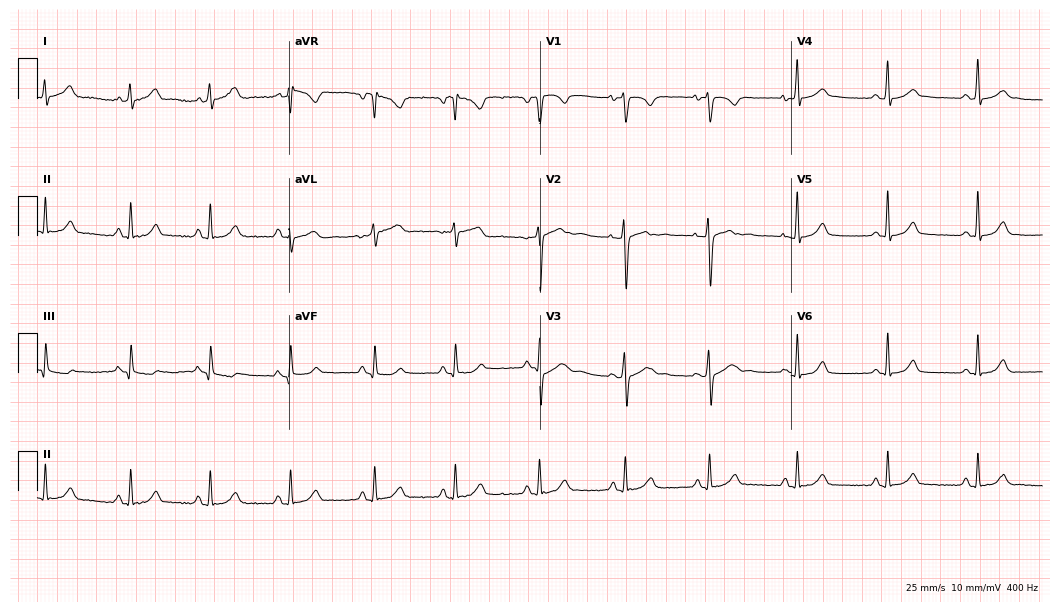
Standard 12-lead ECG recorded from a female, 24 years old (10.2-second recording at 400 Hz). None of these six findings is recorded: first-degree AV block, right bundle branch block (RBBB), left bundle branch block (LBBB), sinus bradycardia, atrial fibrillation (AF), sinus tachycardia.